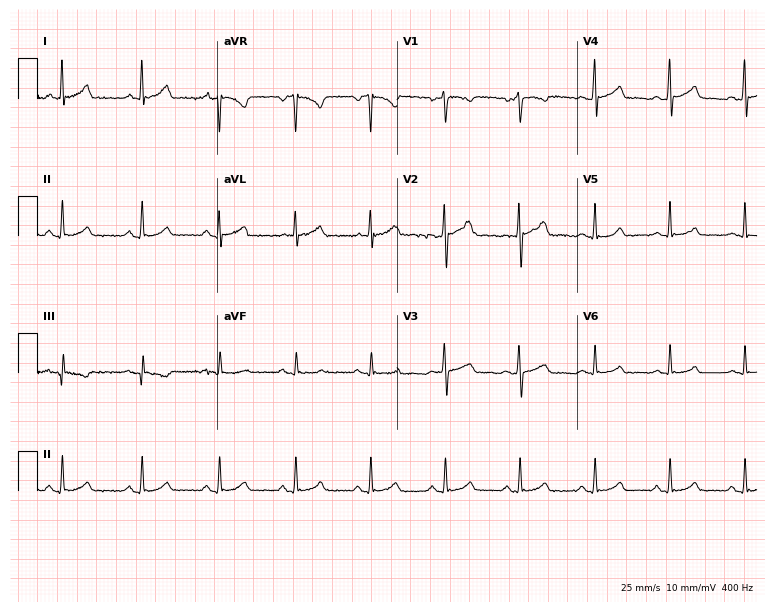
Standard 12-lead ECG recorded from a female, 42 years old (7.3-second recording at 400 Hz). None of these six findings is recorded: first-degree AV block, right bundle branch block, left bundle branch block, sinus bradycardia, atrial fibrillation, sinus tachycardia.